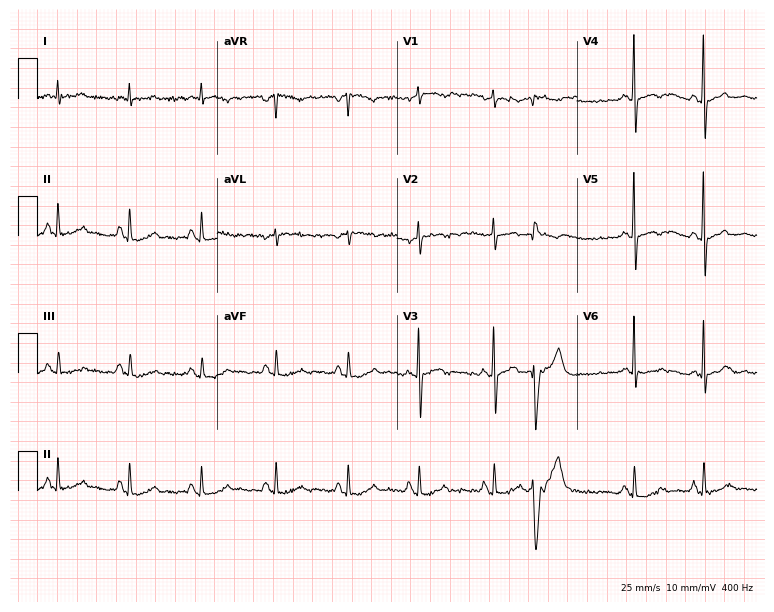
Resting 12-lead electrocardiogram. Patient: an 83-year-old woman. Read as a normal ECG.